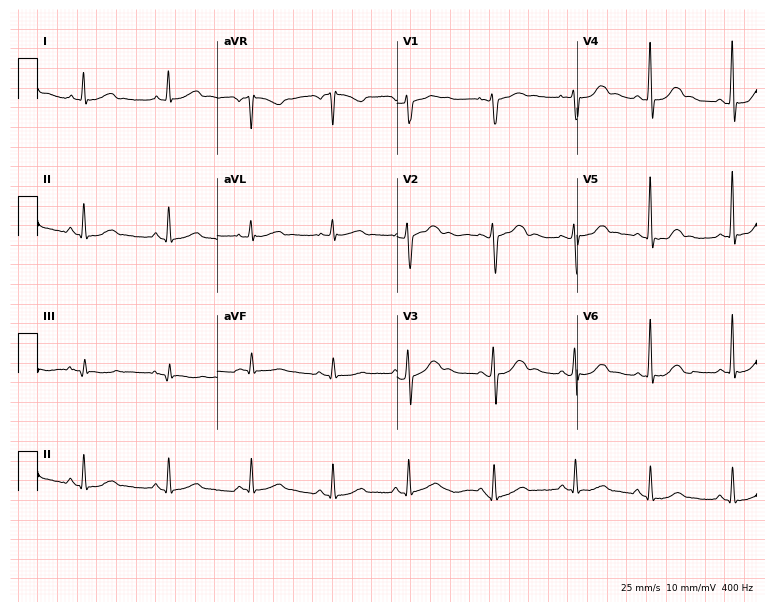
Standard 12-lead ECG recorded from a woman, 63 years old. None of these six findings is recorded: first-degree AV block, right bundle branch block, left bundle branch block, sinus bradycardia, atrial fibrillation, sinus tachycardia. Findings outside these six are not listed.